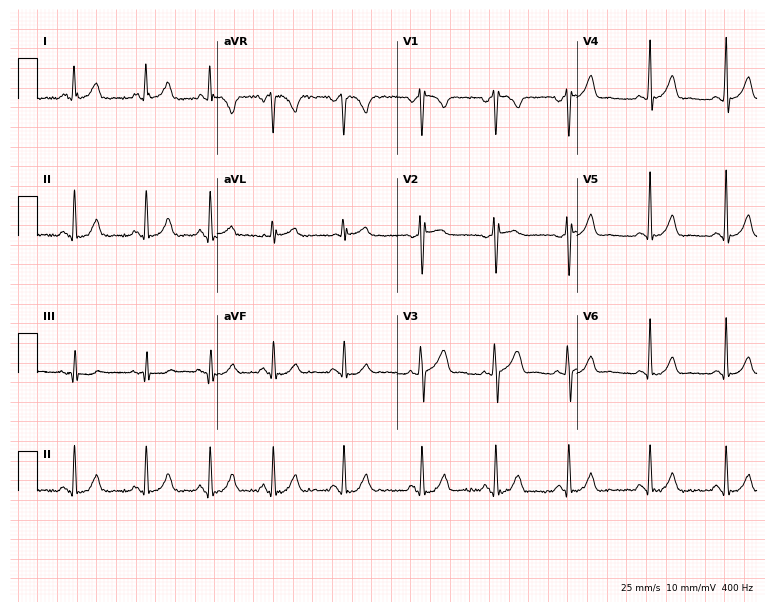
Standard 12-lead ECG recorded from a woman, 26 years old. Read as a normal ECG.